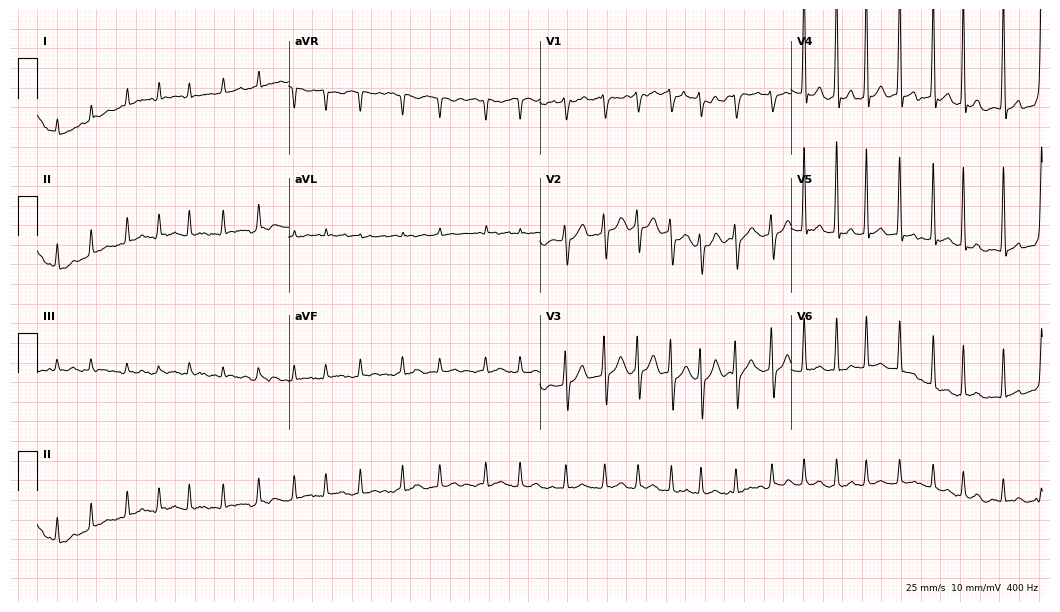
Standard 12-lead ECG recorded from a 78-year-old male (10.2-second recording at 400 Hz). The tracing shows atrial fibrillation (AF), sinus tachycardia (a sinus rate of 100 beats per minute or more).